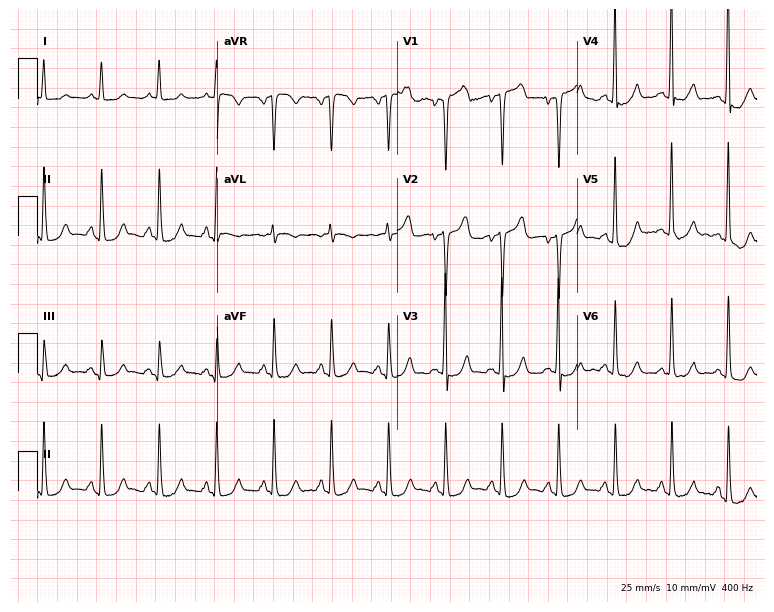
Standard 12-lead ECG recorded from a woman, 68 years old. None of these six findings is recorded: first-degree AV block, right bundle branch block, left bundle branch block, sinus bradycardia, atrial fibrillation, sinus tachycardia.